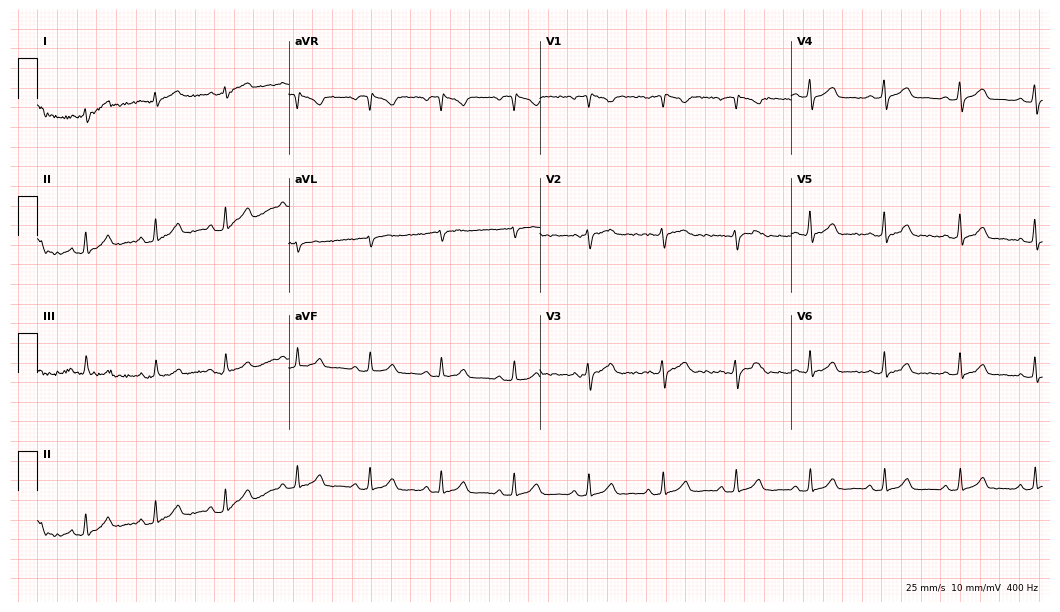
12-lead ECG from a 46-year-old female patient. No first-degree AV block, right bundle branch block (RBBB), left bundle branch block (LBBB), sinus bradycardia, atrial fibrillation (AF) or sinus tachycardia recorded for this tracing.